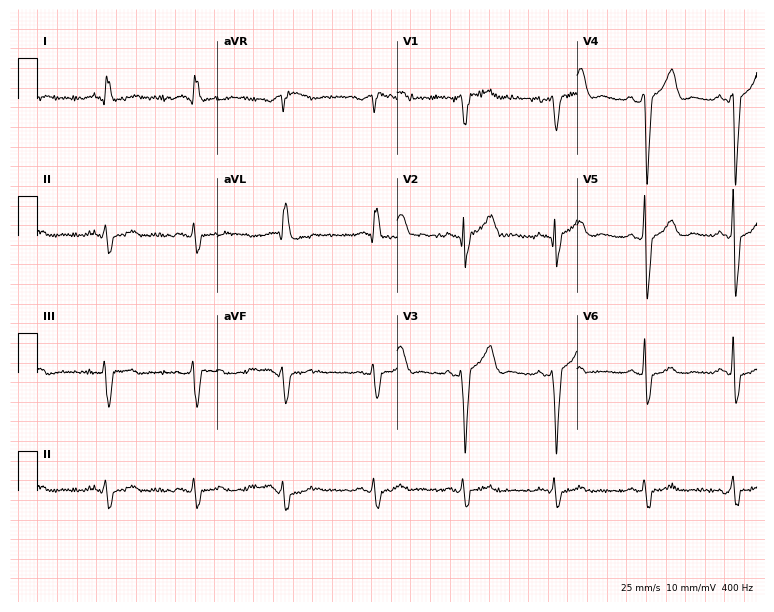
ECG (7.3-second recording at 400 Hz) — a male, 44 years old. Screened for six findings — first-degree AV block, right bundle branch block, left bundle branch block, sinus bradycardia, atrial fibrillation, sinus tachycardia — none is recorded.